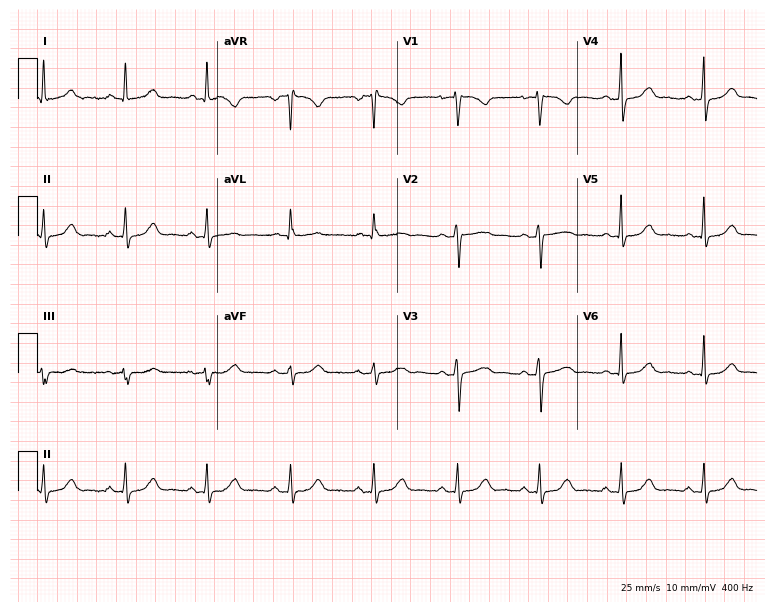
Electrocardiogram, a woman, 38 years old. Overall reading on record: normal ECG.